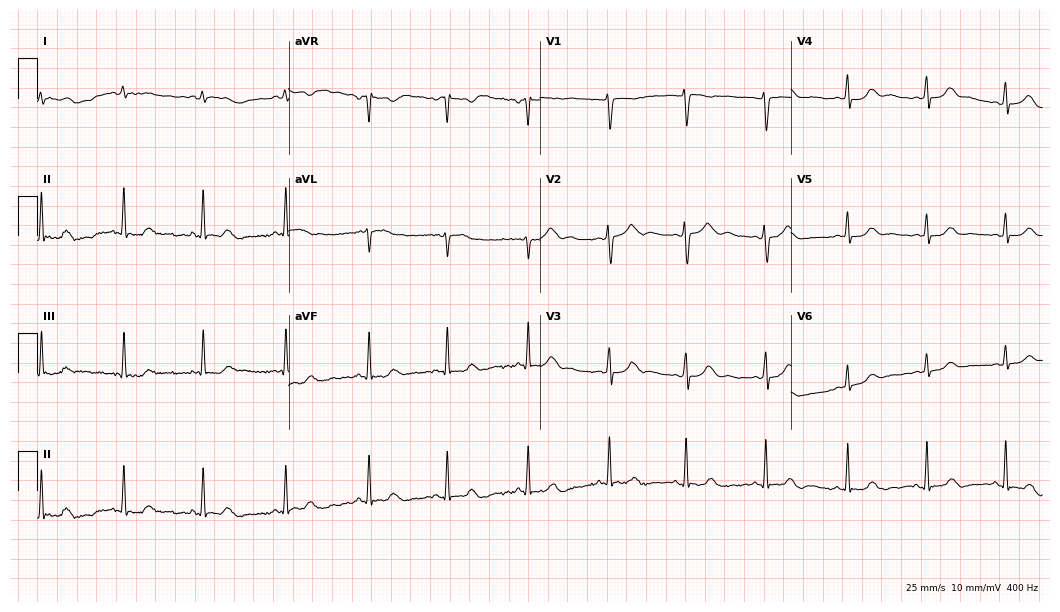
Resting 12-lead electrocardiogram (10.2-second recording at 400 Hz). Patient: a 29-year-old woman. Read as a normal ECG.